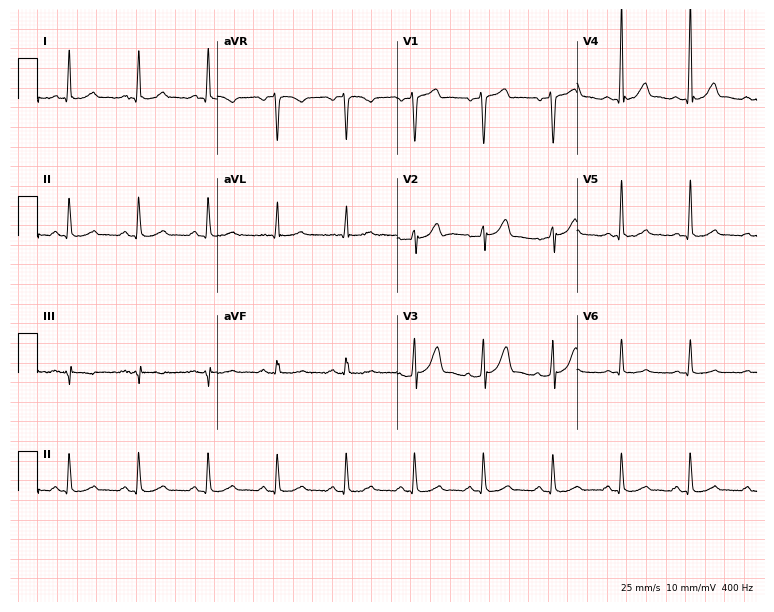
Electrocardiogram (7.3-second recording at 400 Hz), a 60-year-old male patient. Overall reading on record: normal ECG.